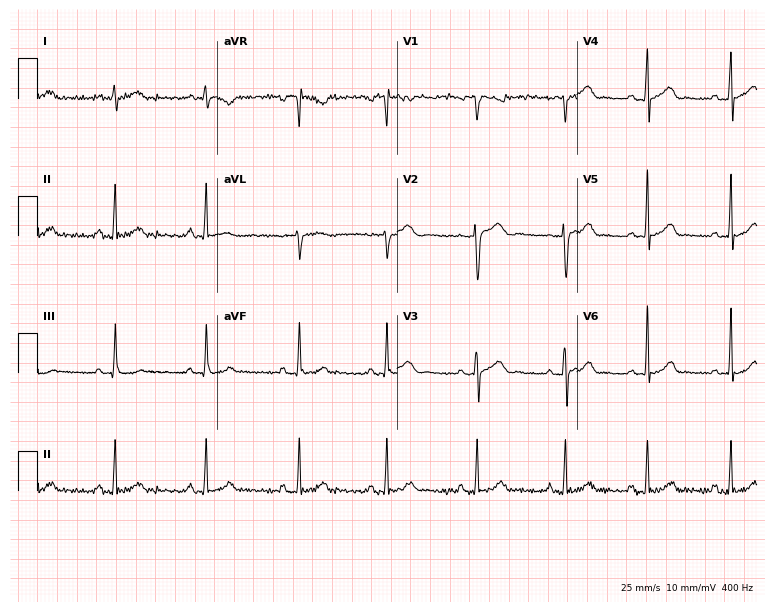
12-lead ECG (7.3-second recording at 400 Hz) from a woman, 18 years old. Labelled as a normal ECG.